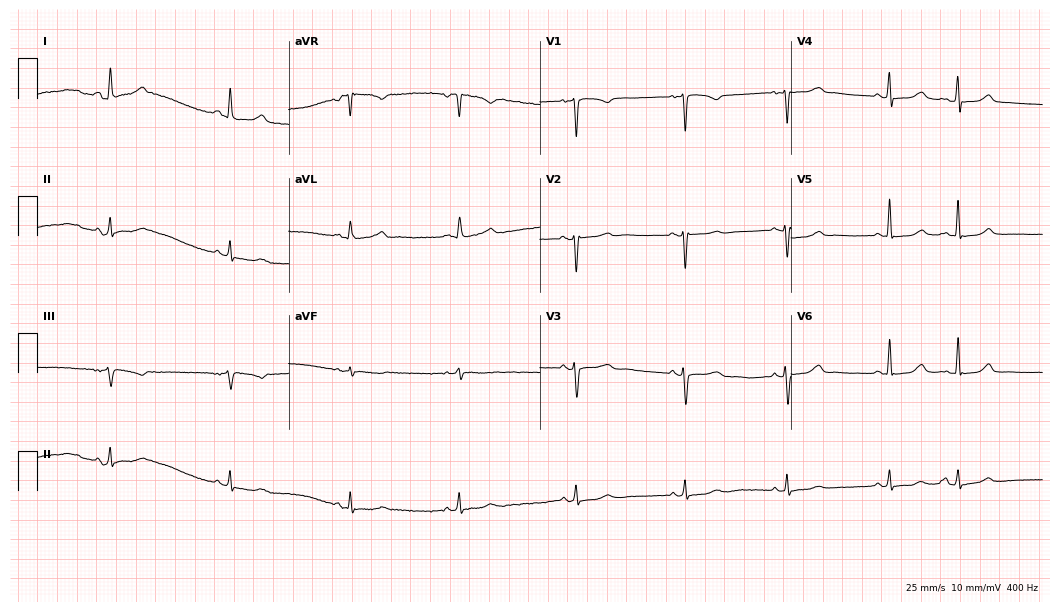
Electrocardiogram (10.2-second recording at 400 Hz), a 46-year-old woman. Of the six screened findings (first-degree AV block, right bundle branch block, left bundle branch block, sinus bradycardia, atrial fibrillation, sinus tachycardia), none is recorded. Other findings, if any, are not listed.